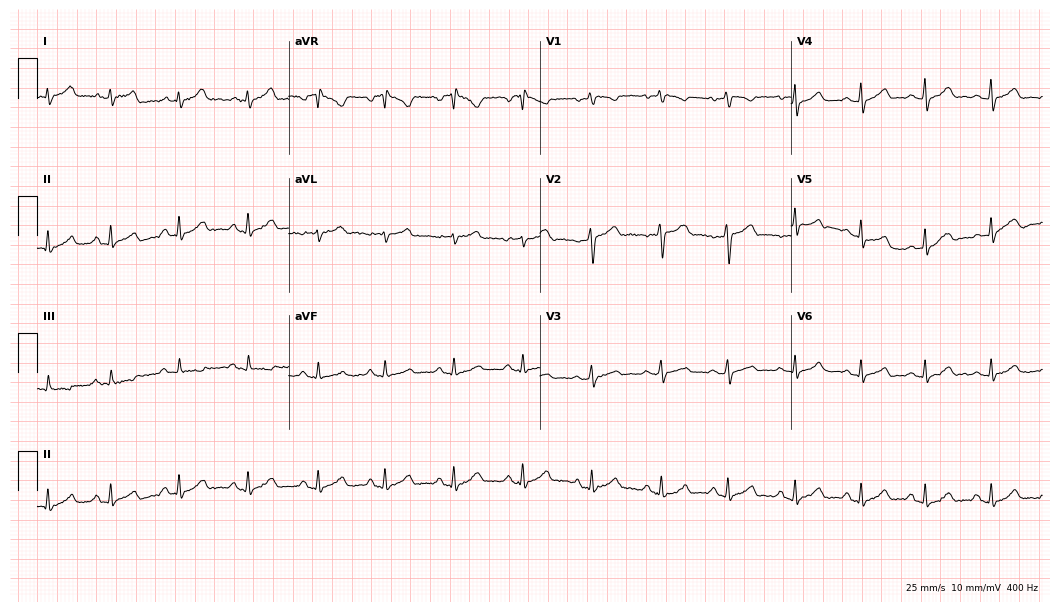
Electrocardiogram (10.2-second recording at 400 Hz), a 42-year-old woman. Of the six screened findings (first-degree AV block, right bundle branch block (RBBB), left bundle branch block (LBBB), sinus bradycardia, atrial fibrillation (AF), sinus tachycardia), none is recorded. Findings outside these six are not listed.